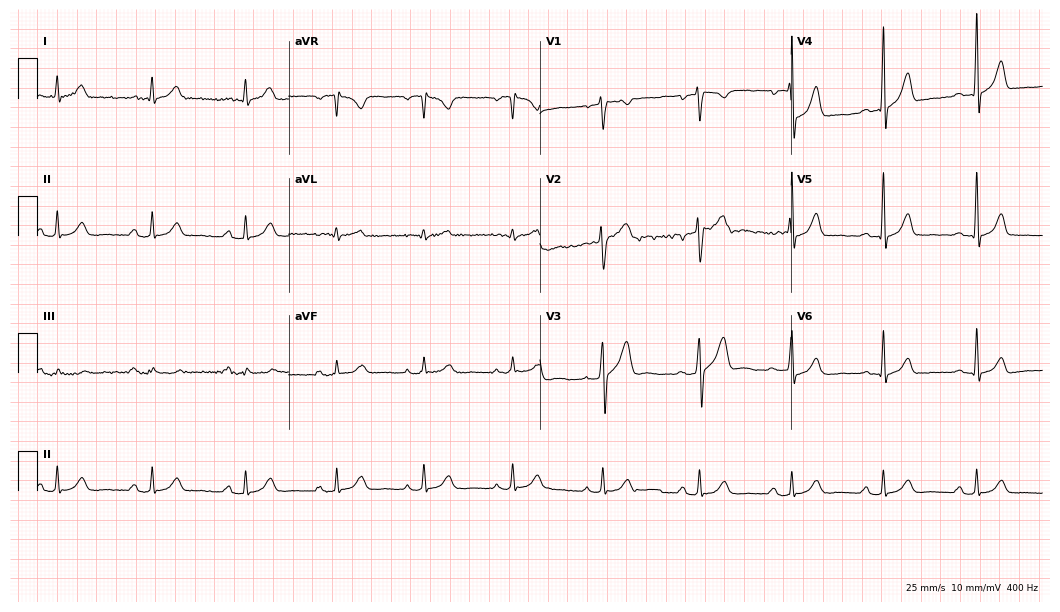
12-lead ECG from a 29-year-old man. Recorded interpretation: within normal limits.